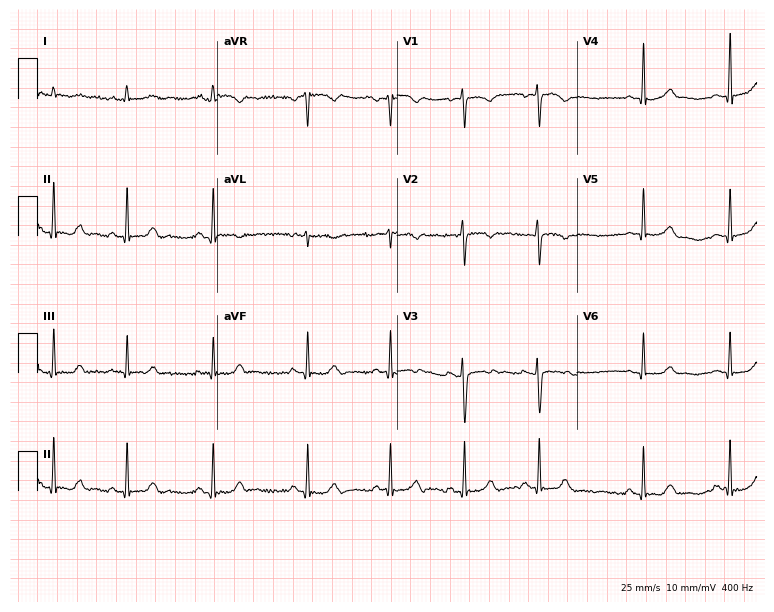
12-lead ECG from a 19-year-old woman. Labelled as a normal ECG.